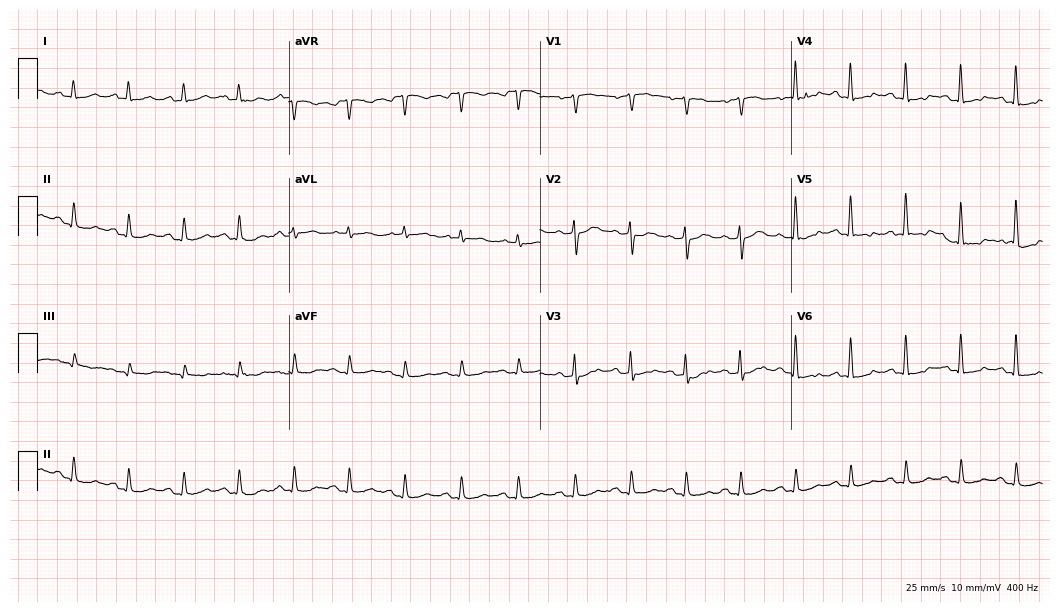
Electrocardiogram (10.2-second recording at 400 Hz), a 68-year-old man. Interpretation includes sinus tachycardia (a sinus rate of 100 beats per minute or more).